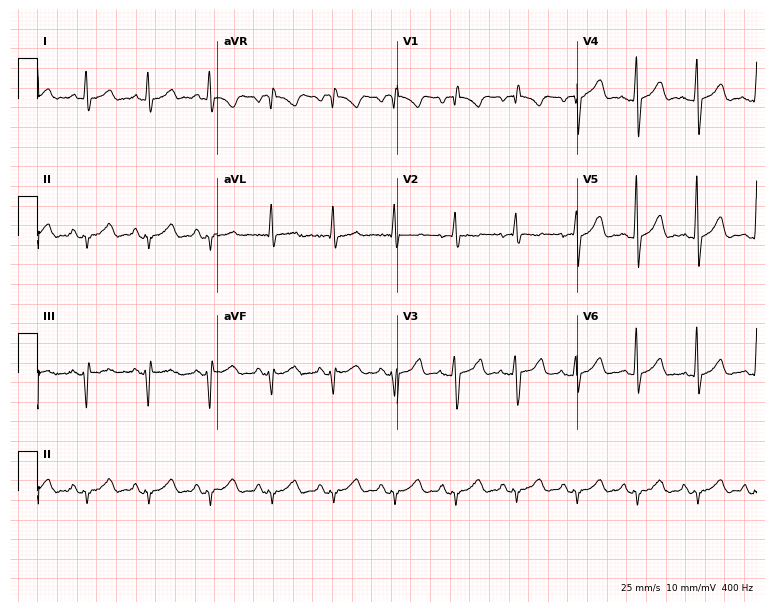
12-lead ECG from a male, 67 years old. No first-degree AV block, right bundle branch block, left bundle branch block, sinus bradycardia, atrial fibrillation or sinus tachycardia recorded for this tracing. Only these six findings were labelled.